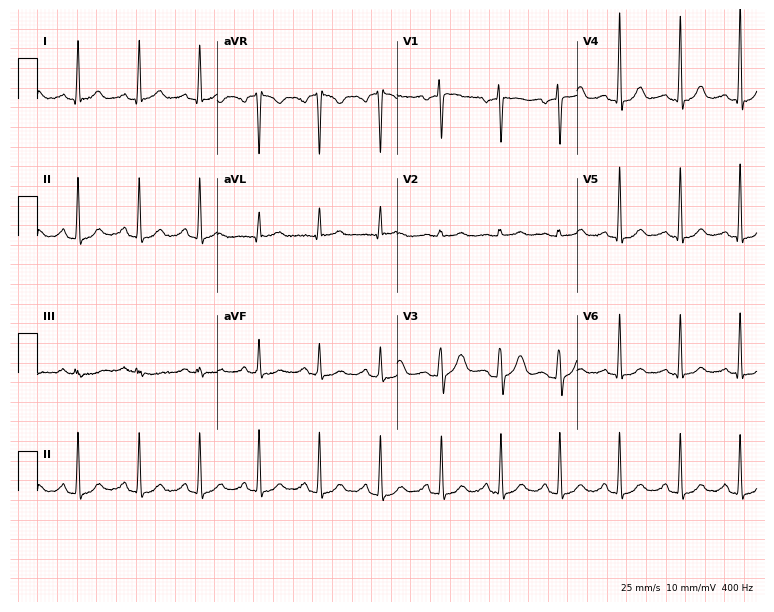
ECG — a woman, 46 years old. Screened for six findings — first-degree AV block, right bundle branch block (RBBB), left bundle branch block (LBBB), sinus bradycardia, atrial fibrillation (AF), sinus tachycardia — none is recorded.